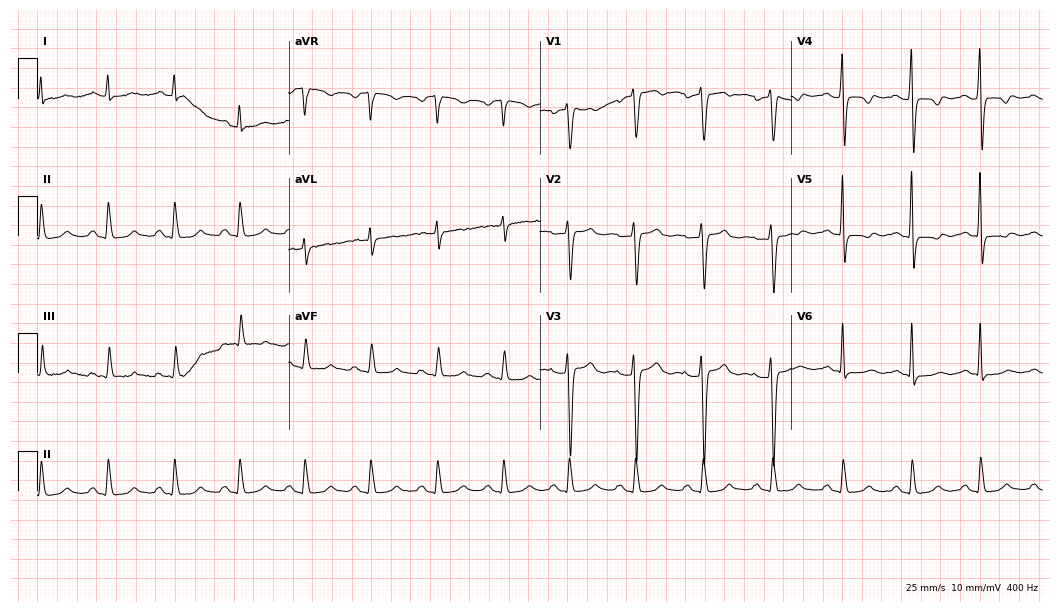
Standard 12-lead ECG recorded from a 37-year-old woman (10.2-second recording at 400 Hz). None of these six findings is recorded: first-degree AV block, right bundle branch block, left bundle branch block, sinus bradycardia, atrial fibrillation, sinus tachycardia.